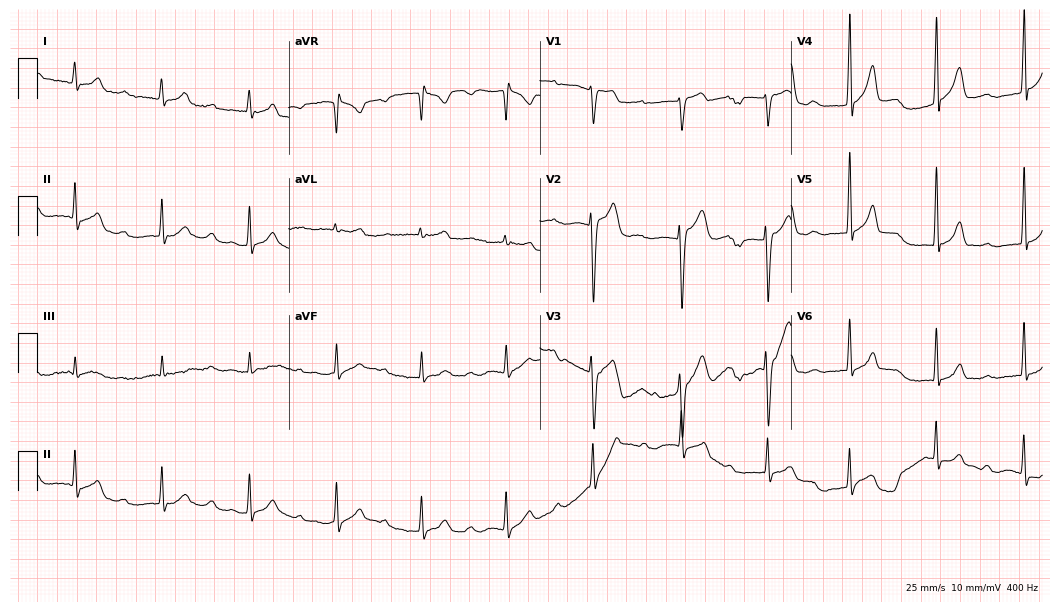
Standard 12-lead ECG recorded from a 24-year-old male patient (10.2-second recording at 400 Hz). The tracing shows first-degree AV block.